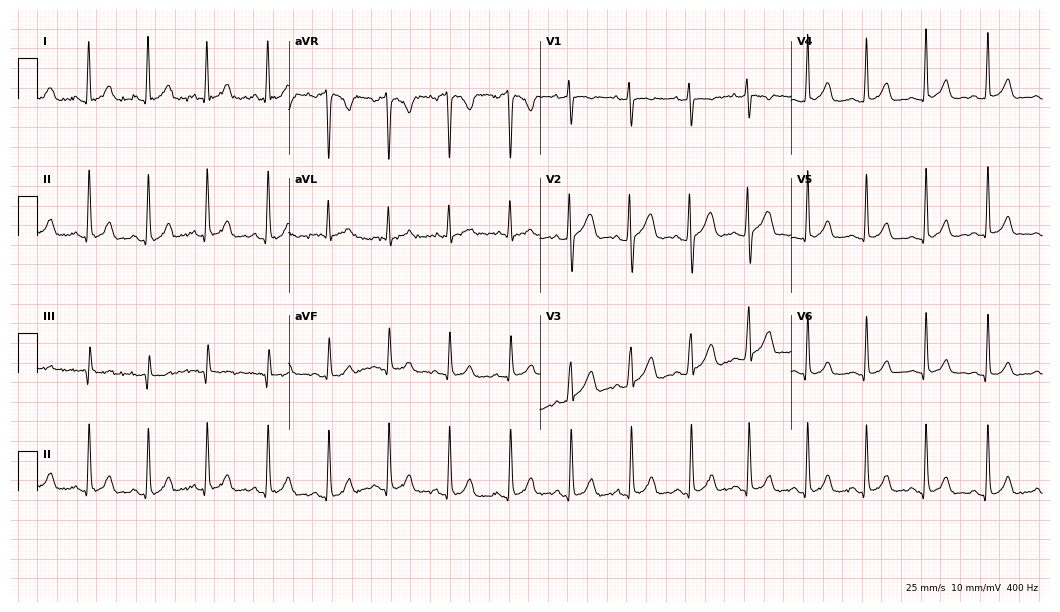
ECG — a woman, 18 years old. Screened for six findings — first-degree AV block, right bundle branch block, left bundle branch block, sinus bradycardia, atrial fibrillation, sinus tachycardia — none is recorded.